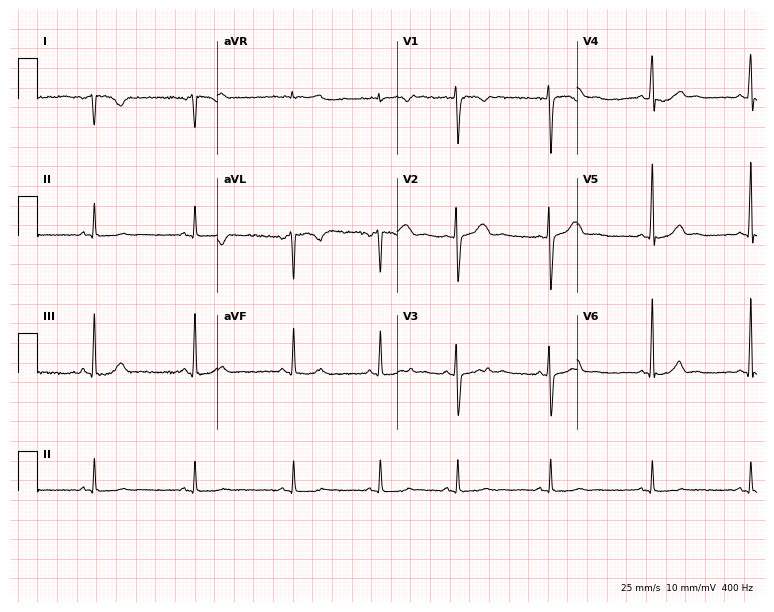
12-lead ECG from a 29-year-old woman. No first-degree AV block, right bundle branch block, left bundle branch block, sinus bradycardia, atrial fibrillation or sinus tachycardia recorded for this tracing.